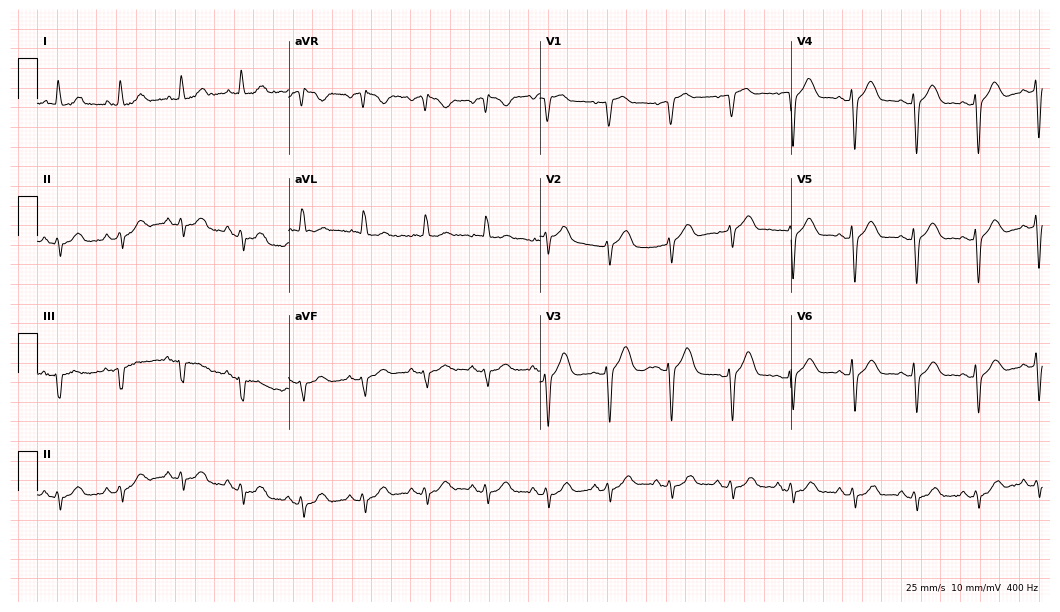
Resting 12-lead electrocardiogram. Patient: a 69-year-old female. None of these six findings is recorded: first-degree AV block, right bundle branch block, left bundle branch block, sinus bradycardia, atrial fibrillation, sinus tachycardia. Other findings, if any, are not listed.